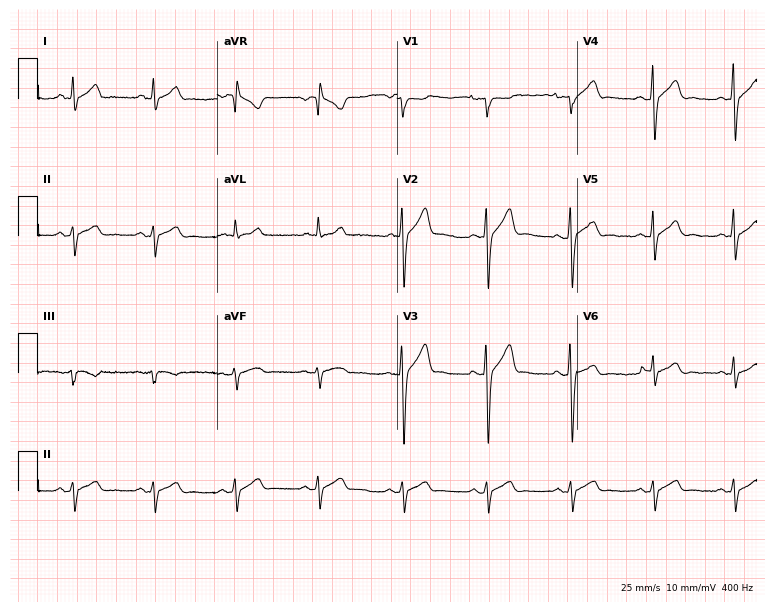
Resting 12-lead electrocardiogram. Patient: a 34-year-old man. None of these six findings is recorded: first-degree AV block, right bundle branch block, left bundle branch block, sinus bradycardia, atrial fibrillation, sinus tachycardia. Only these six findings were labelled.